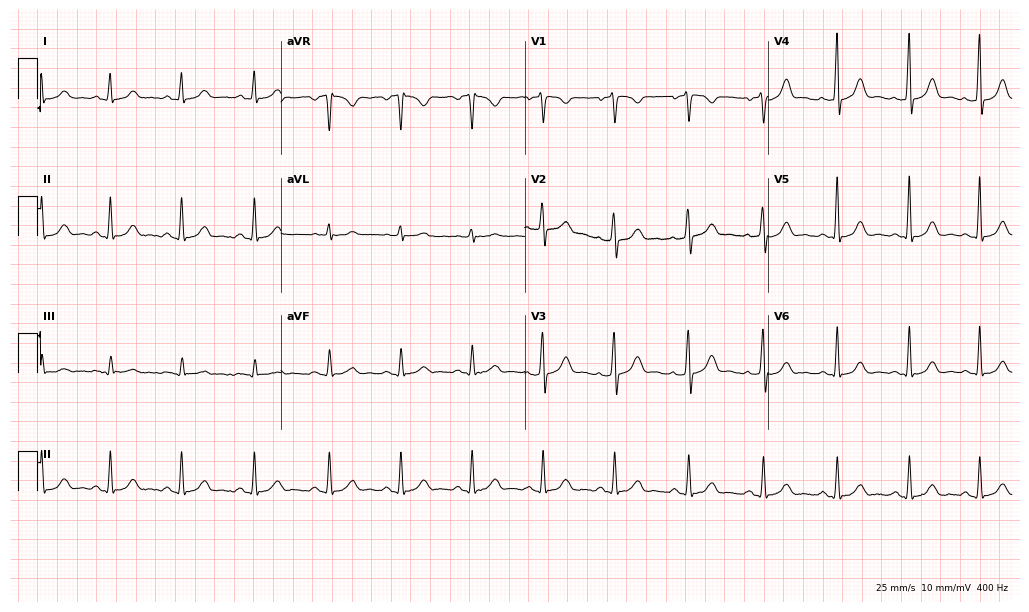
ECG (9.9-second recording at 400 Hz) — a woman, 40 years old. Labelled as a normal ECG.